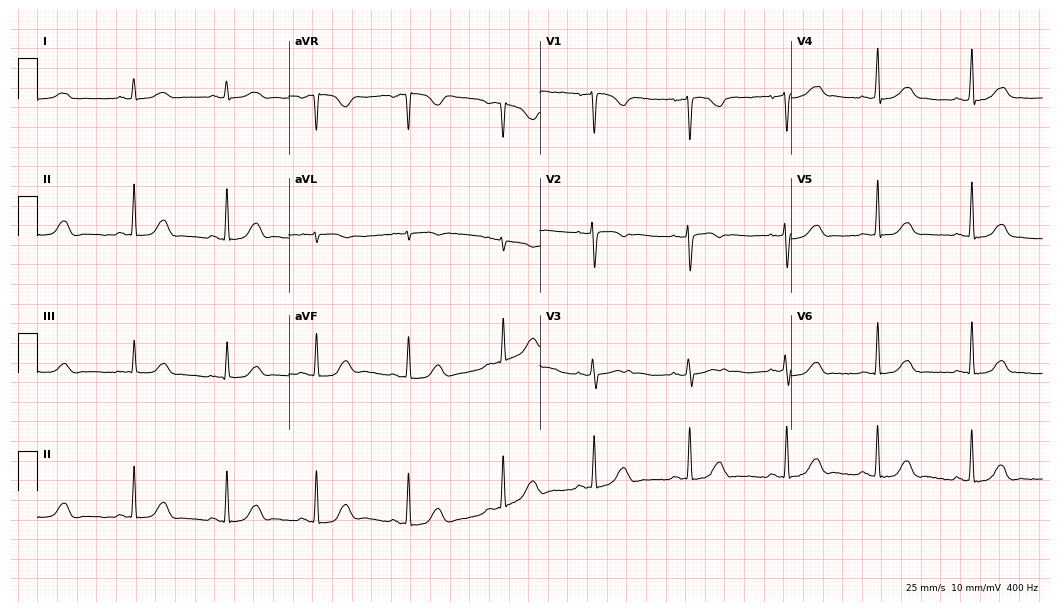
Standard 12-lead ECG recorded from a woman, 35 years old (10.2-second recording at 400 Hz). Read as a normal ECG.